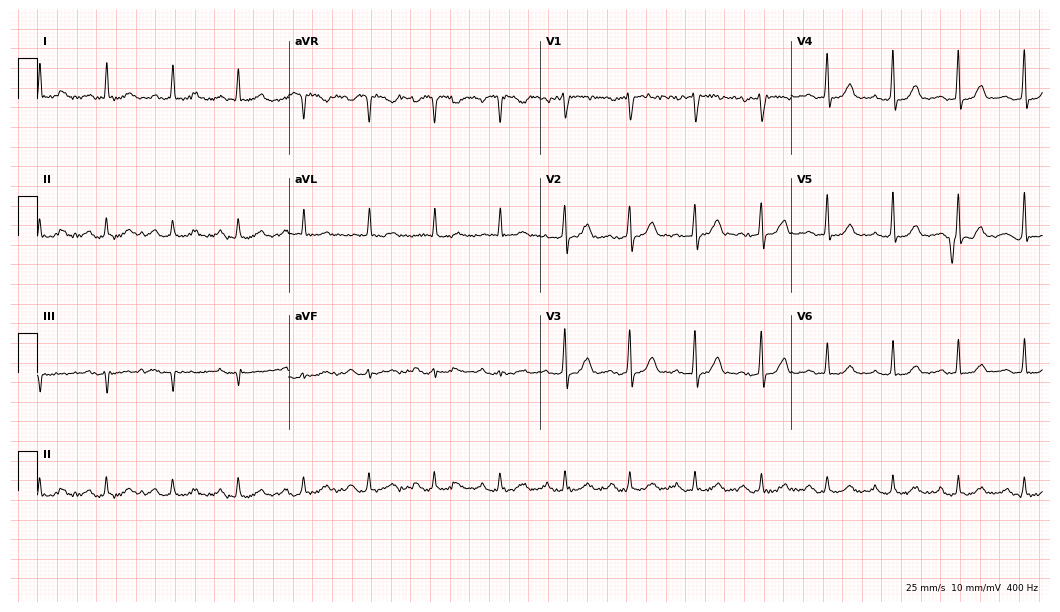
Electrocardiogram, a 78-year-old female. Interpretation includes first-degree AV block.